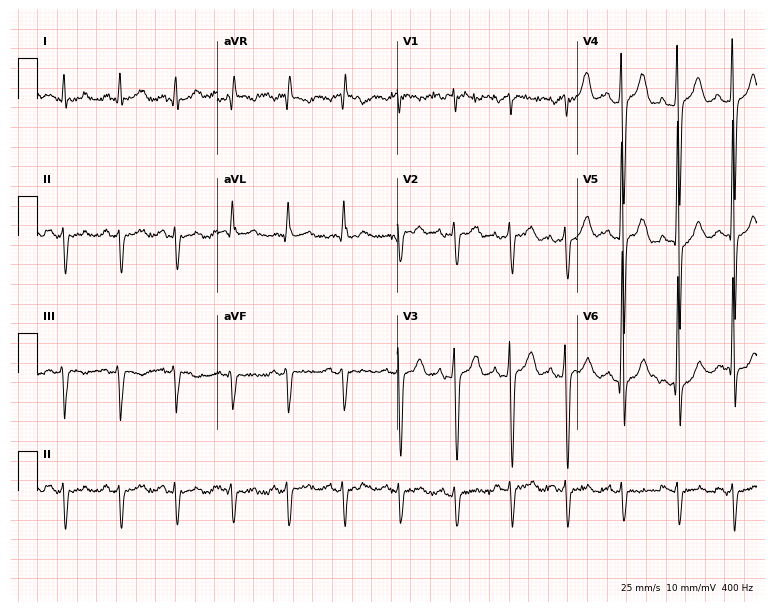
ECG (7.3-second recording at 400 Hz) — a male patient, 19 years old. Findings include sinus tachycardia (a sinus rate of 100 beats per minute or more).